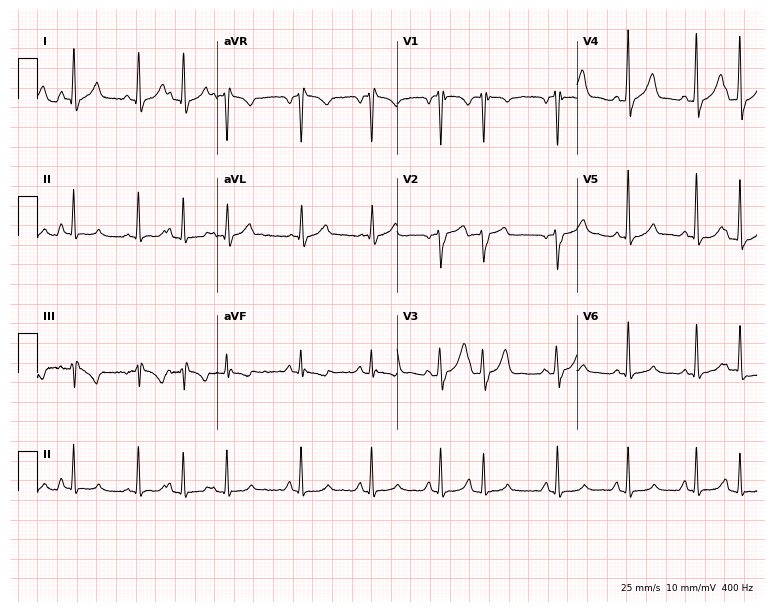
12-lead ECG from a 74-year-old male patient (7.3-second recording at 400 Hz). No first-degree AV block, right bundle branch block, left bundle branch block, sinus bradycardia, atrial fibrillation or sinus tachycardia recorded for this tracing.